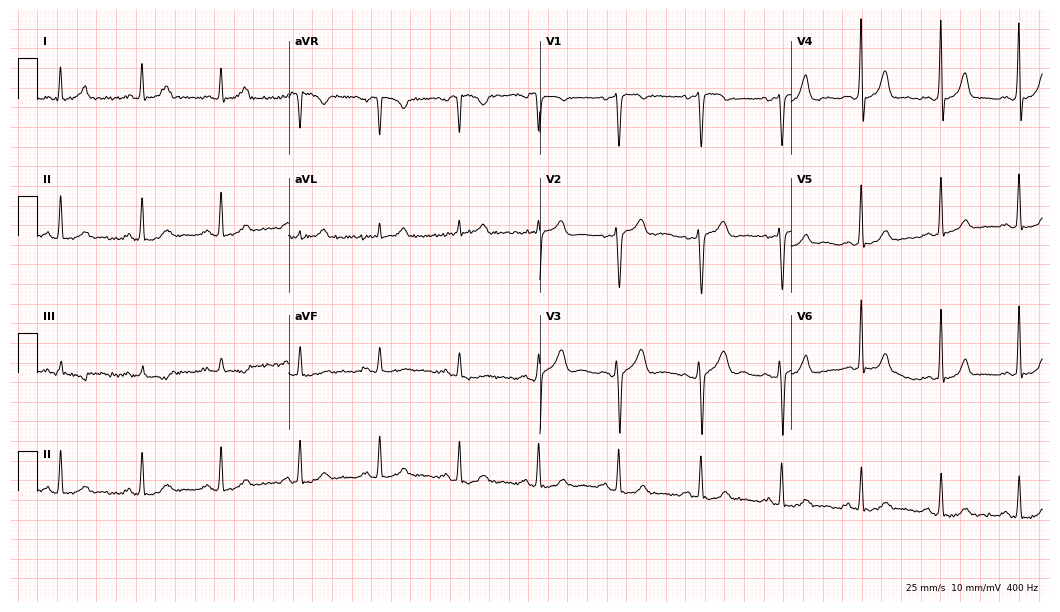
Standard 12-lead ECG recorded from a 50-year-old male patient (10.2-second recording at 400 Hz). None of these six findings is recorded: first-degree AV block, right bundle branch block, left bundle branch block, sinus bradycardia, atrial fibrillation, sinus tachycardia.